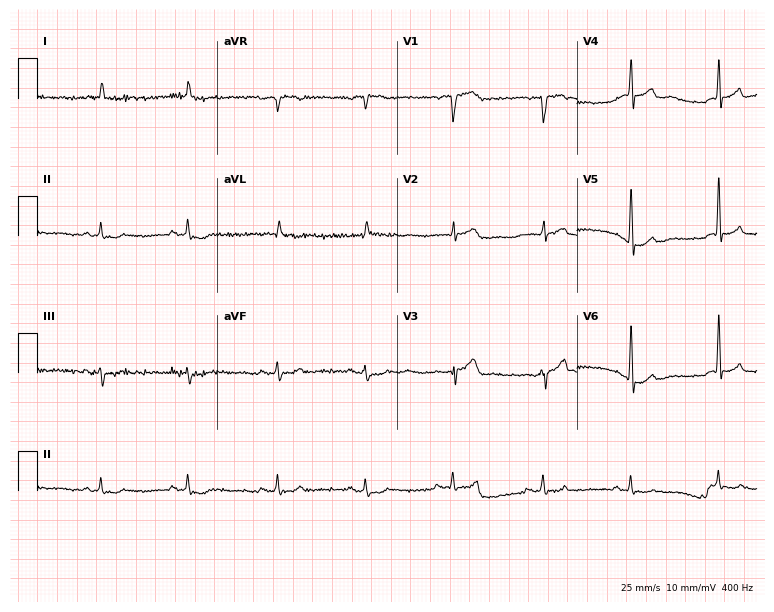
Standard 12-lead ECG recorded from a man, 72 years old. None of these six findings is recorded: first-degree AV block, right bundle branch block (RBBB), left bundle branch block (LBBB), sinus bradycardia, atrial fibrillation (AF), sinus tachycardia.